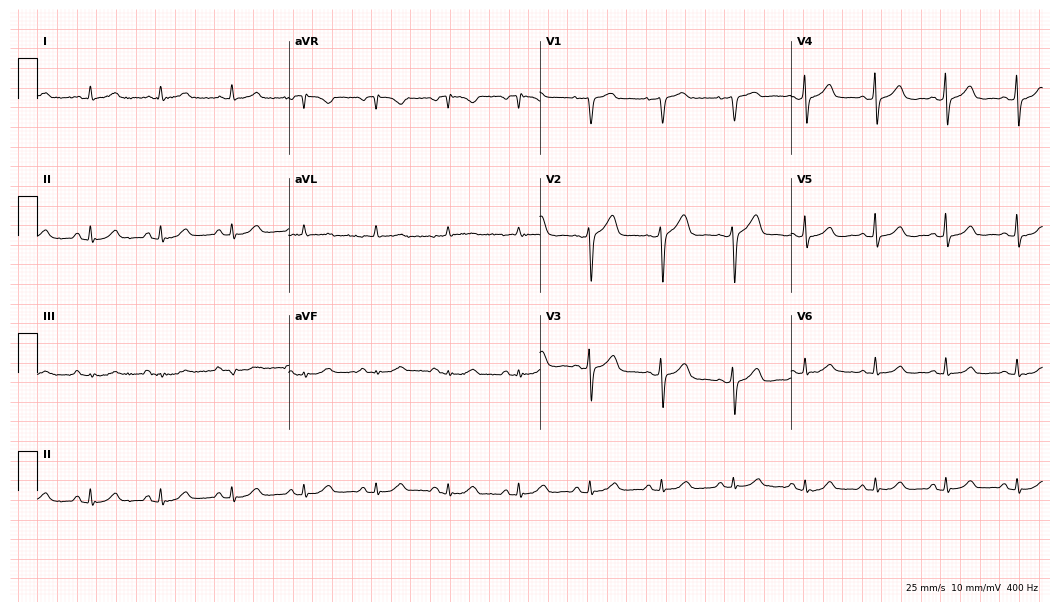
ECG — a 68-year-old female patient. Labelled as a normal ECG.